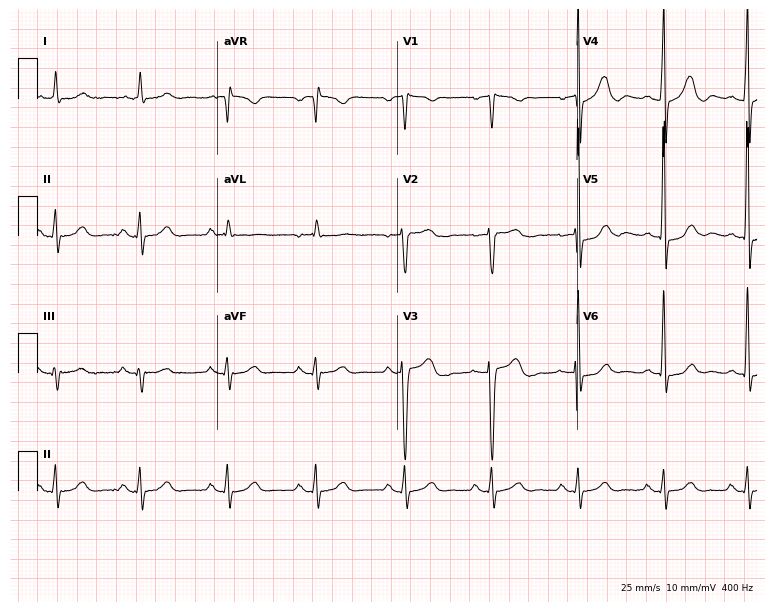
12-lead ECG from a 73-year-old female patient. Screened for six findings — first-degree AV block, right bundle branch block, left bundle branch block, sinus bradycardia, atrial fibrillation, sinus tachycardia — none is recorded. Findings outside these six are not listed.